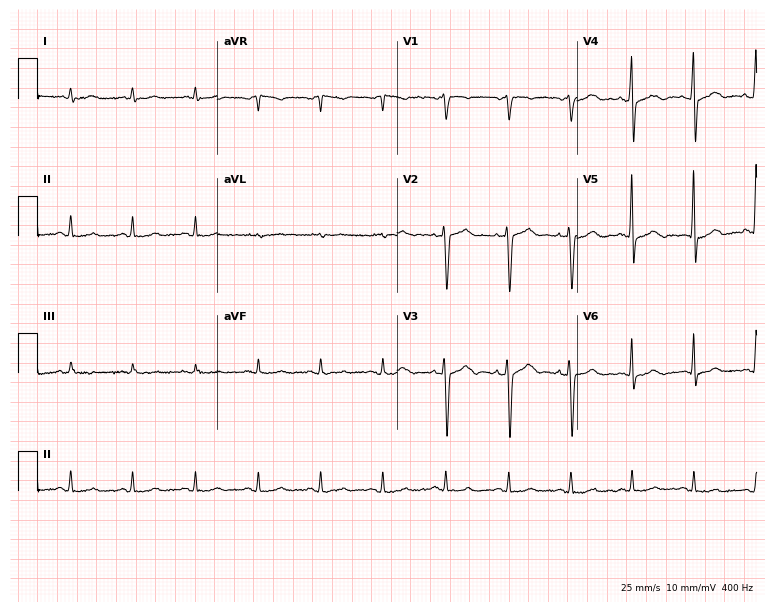
Standard 12-lead ECG recorded from a 59-year-old man. None of these six findings is recorded: first-degree AV block, right bundle branch block, left bundle branch block, sinus bradycardia, atrial fibrillation, sinus tachycardia. Findings outside these six are not listed.